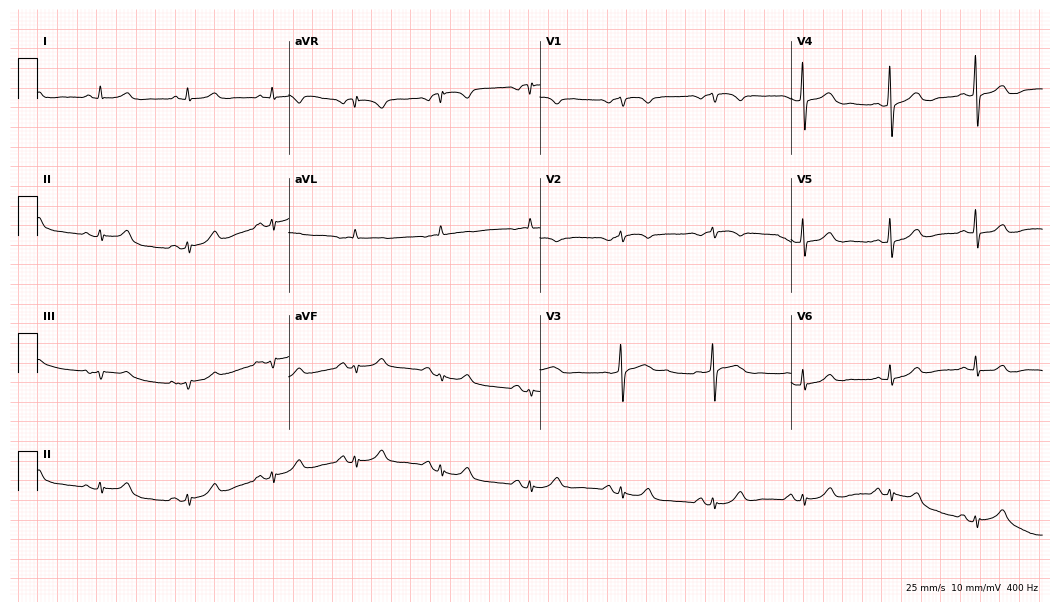
Electrocardiogram, a female, 72 years old. Overall reading on record: normal ECG.